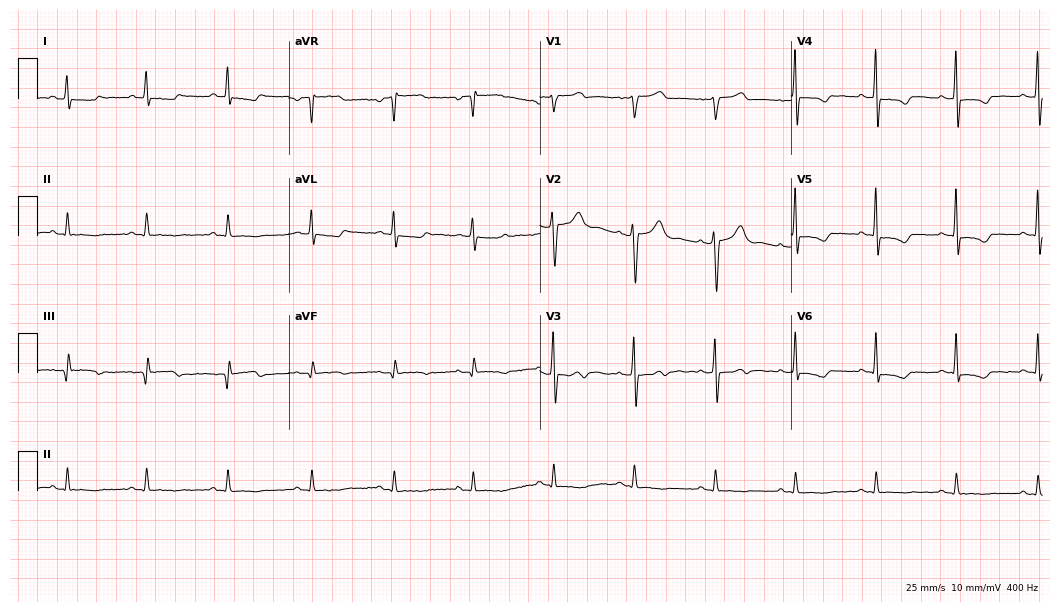
ECG — a male patient, 50 years old. Labelled as a normal ECG.